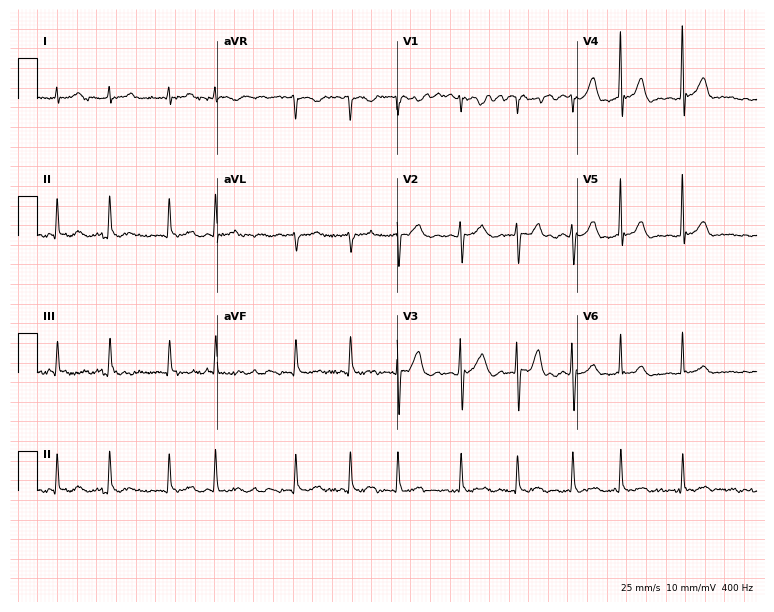
Electrocardiogram, a 72-year-old male. Interpretation includes atrial fibrillation (AF).